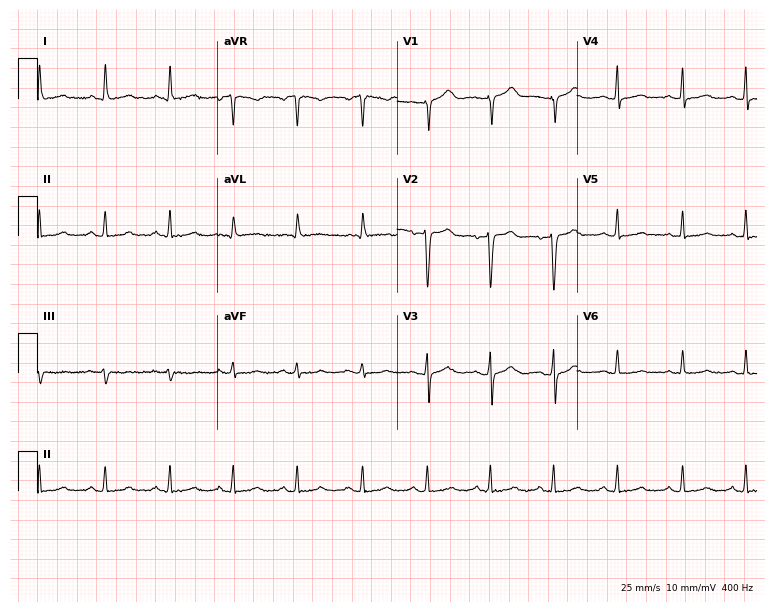
Resting 12-lead electrocardiogram. Patient: a woman, 56 years old. None of these six findings is recorded: first-degree AV block, right bundle branch block, left bundle branch block, sinus bradycardia, atrial fibrillation, sinus tachycardia.